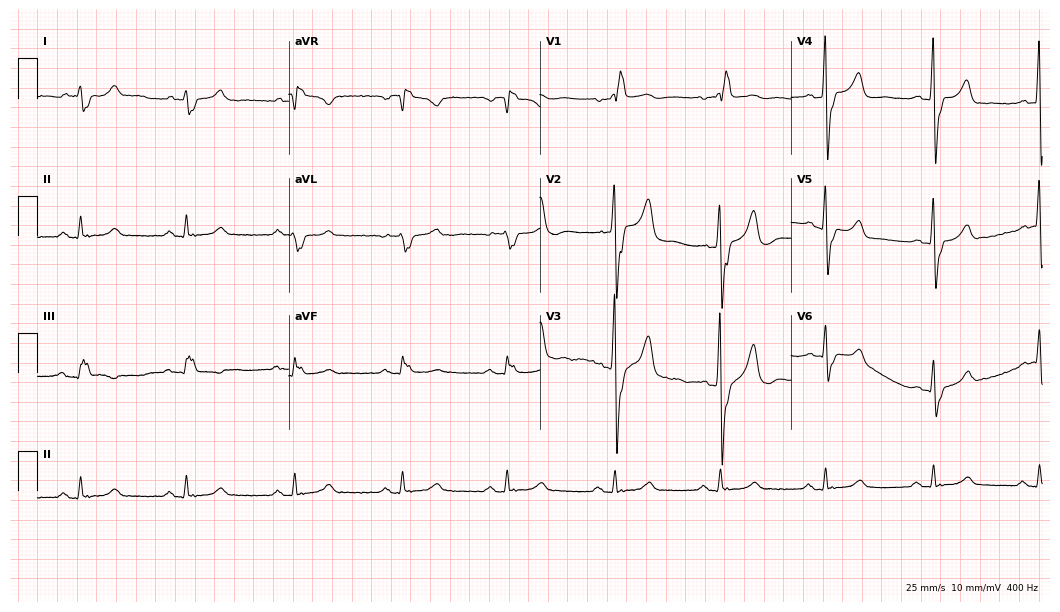
ECG — a male, 67 years old. Findings include right bundle branch block.